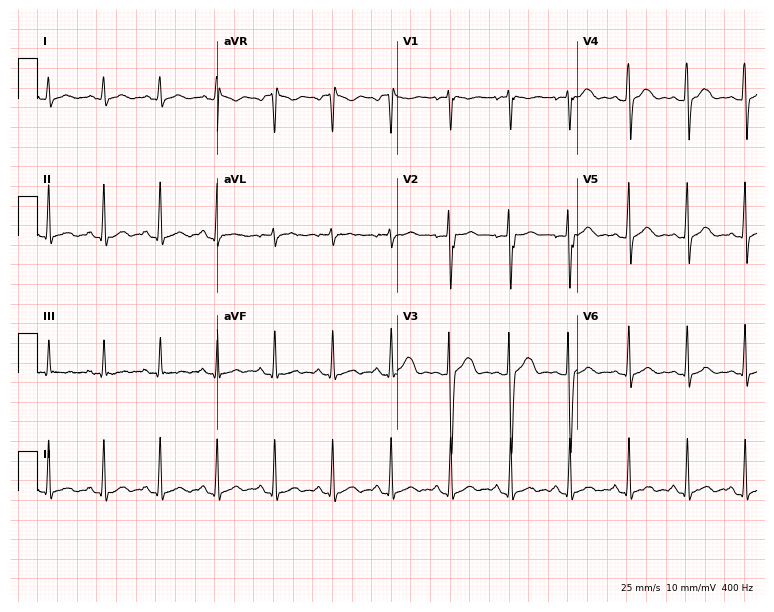
Electrocardiogram (7.3-second recording at 400 Hz), a female patient, 25 years old. Interpretation includes sinus tachycardia (a sinus rate of 100 beats per minute or more).